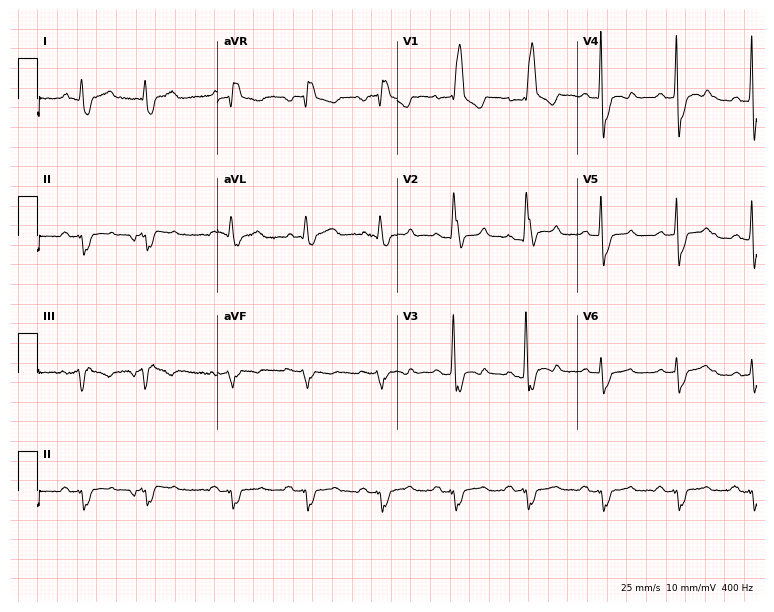
ECG (7.3-second recording at 400 Hz) — a male, 68 years old. Findings include right bundle branch block (RBBB).